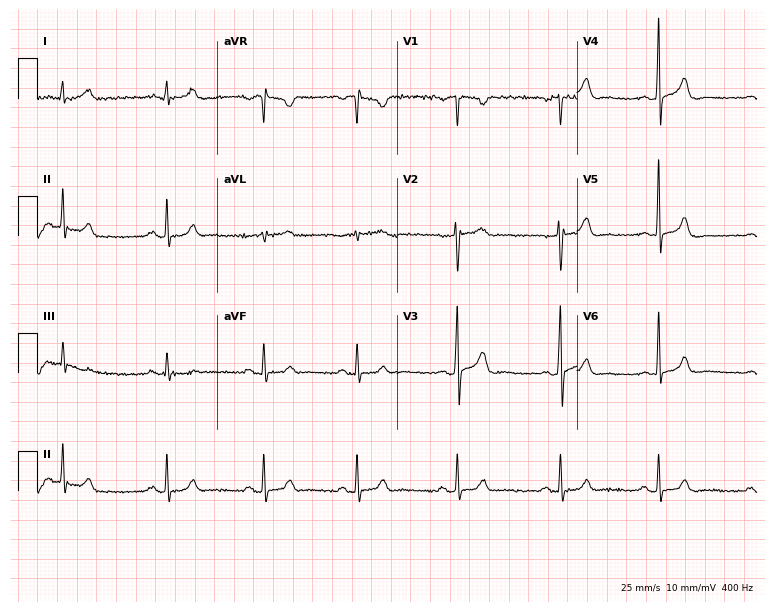
Resting 12-lead electrocardiogram (7.3-second recording at 400 Hz). Patient: a 24-year-old male. Read as a normal ECG.